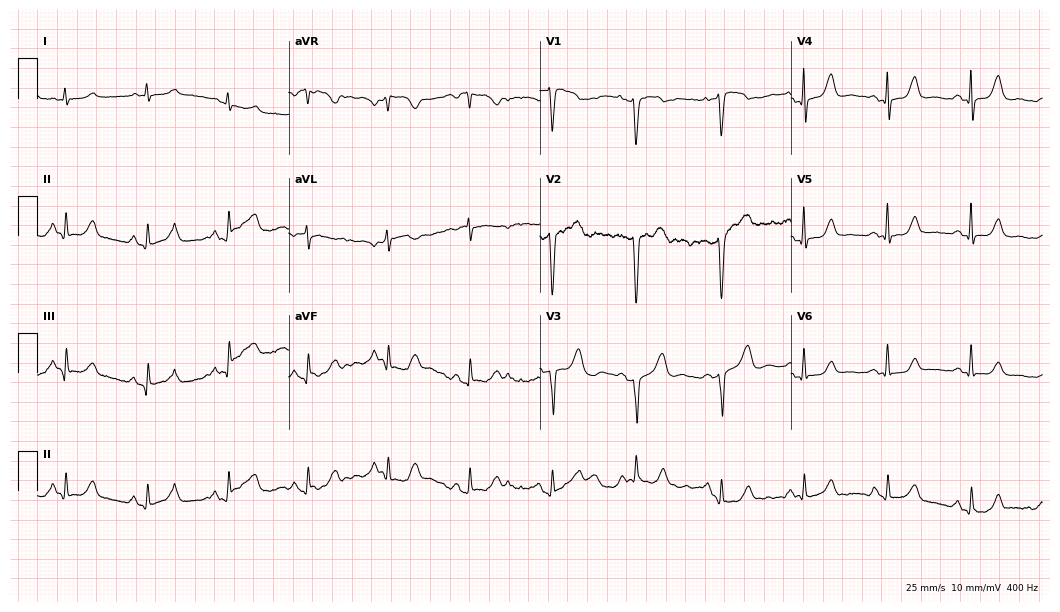
ECG (10.2-second recording at 400 Hz) — a female patient, 48 years old. Screened for six findings — first-degree AV block, right bundle branch block (RBBB), left bundle branch block (LBBB), sinus bradycardia, atrial fibrillation (AF), sinus tachycardia — none is recorded.